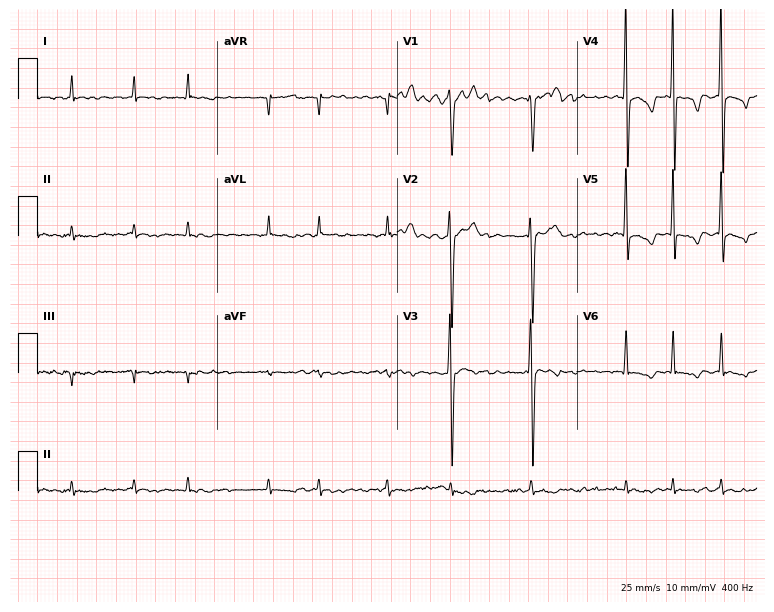
Standard 12-lead ECG recorded from a 61-year-old man (7.3-second recording at 400 Hz). The tracing shows atrial fibrillation.